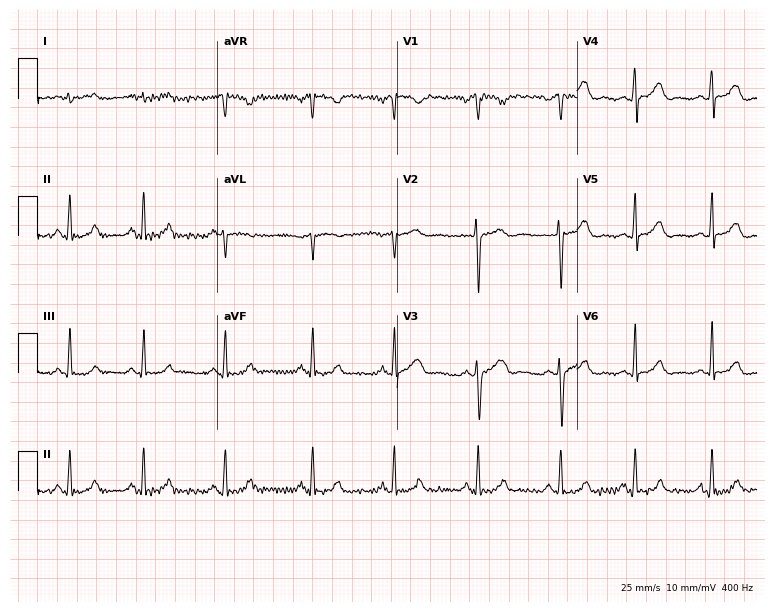
Standard 12-lead ECG recorded from a woman, 22 years old (7.3-second recording at 400 Hz). Read as a normal ECG.